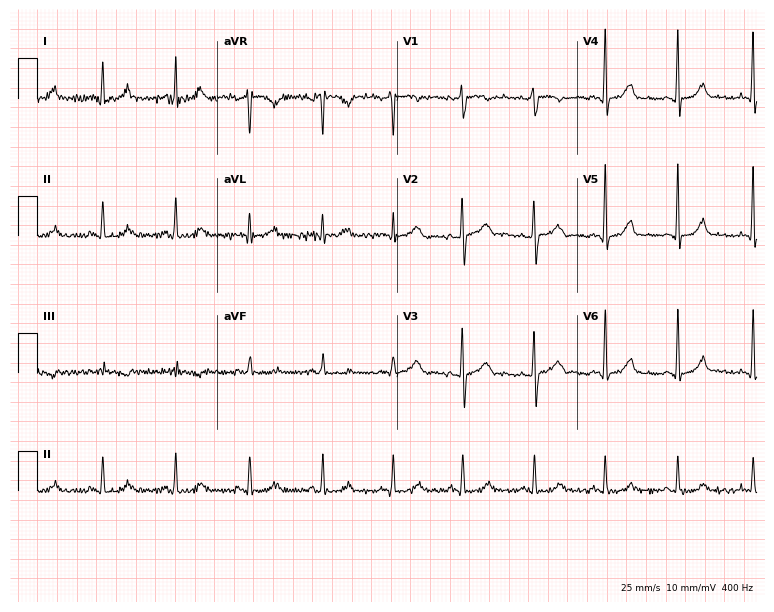
Resting 12-lead electrocardiogram (7.3-second recording at 400 Hz). Patient: a 40-year-old female. None of these six findings is recorded: first-degree AV block, right bundle branch block, left bundle branch block, sinus bradycardia, atrial fibrillation, sinus tachycardia. Findings outside these six are not listed.